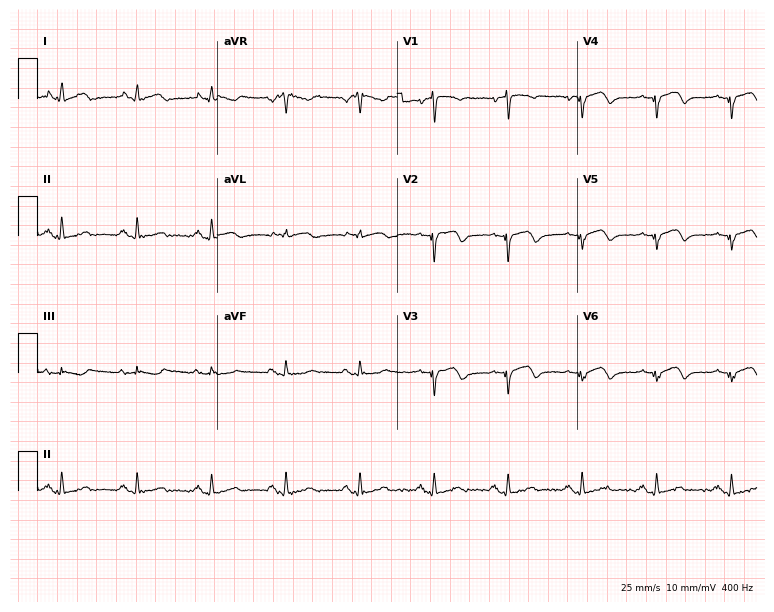
Standard 12-lead ECG recorded from a woman, 78 years old. None of these six findings is recorded: first-degree AV block, right bundle branch block, left bundle branch block, sinus bradycardia, atrial fibrillation, sinus tachycardia. Findings outside these six are not listed.